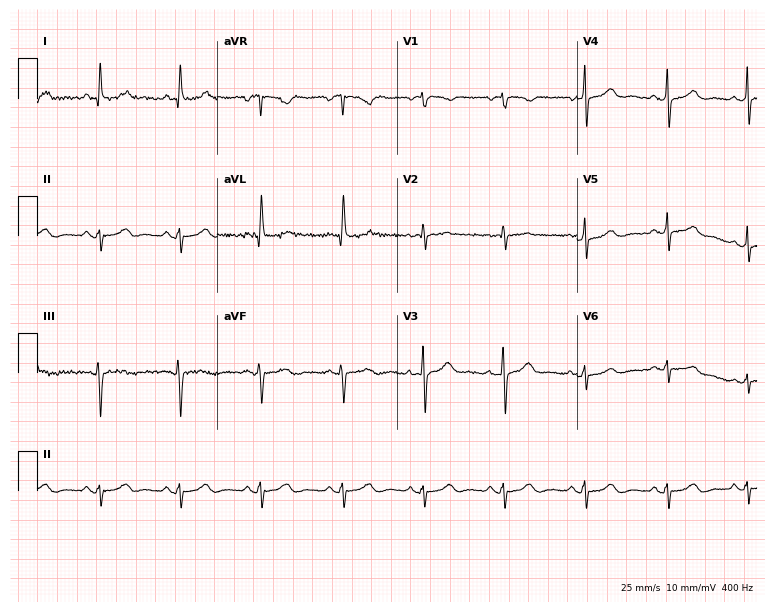
Standard 12-lead ECG recorded from a 63-year-old female patient. None of these six findings is recorded: first-degree AV block, right bundle branch block, left bundle branch block, sinus bradycardia, atrial fibrillation, sinus tachycardia. Findings outside these six are not listed.